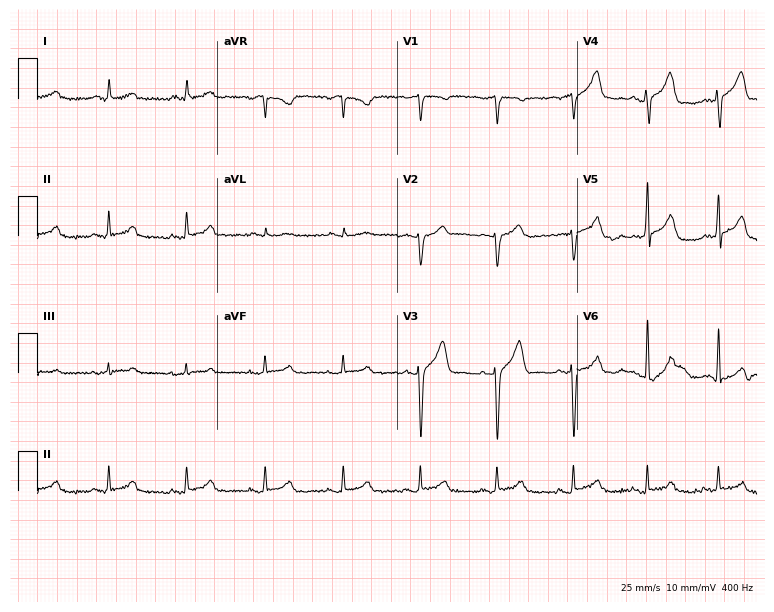
12-lead ECG from a man, 51 years old. Screened for six findings — first-degree AV block, right bundle branch block, left bundle branch block, sinus bradycardia, atrial fibrillation, sinus tachycardia — none is recorded. Only these six findings were labelled.